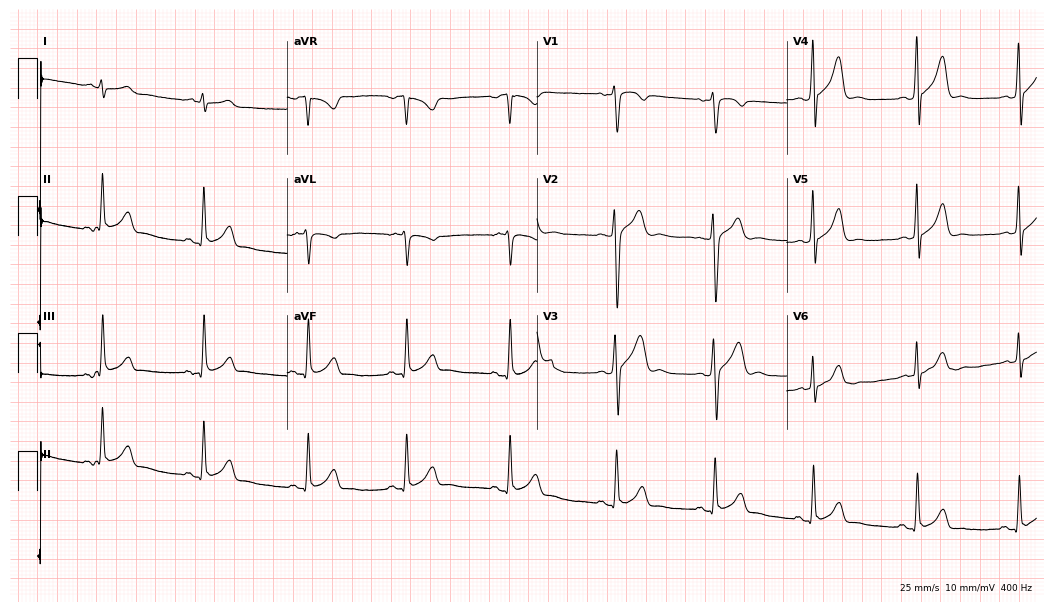
Electrocardiogram, a 35-year-old man. Overall reading on record: normal ECG.